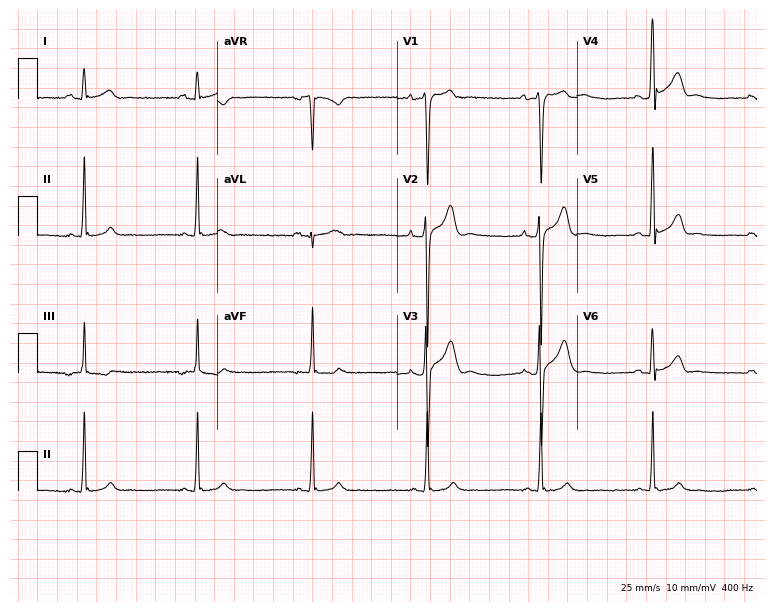
ECG (7.3-second recording at 400 Hz) — a man, 21 years old. Screened for six findings — first-degree AV block, right bundle branch block, left bundle branch block, sinus bradycardia, atrial fibrillation, sinus tachycardia — none is recorded.